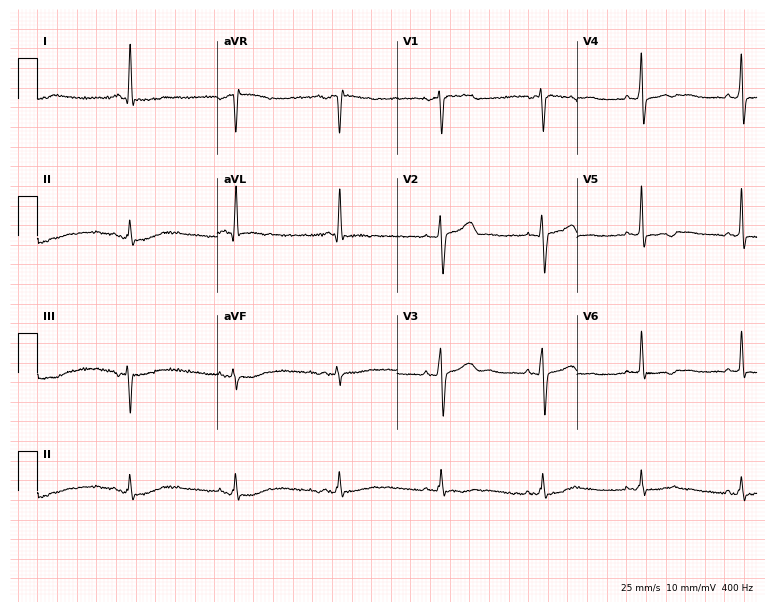
12-lead ECG from a male patient, 54 years old (7.3-second recording at 400 Hz). No first-degree AV block, right bundle branch block, left bundle branch block, sinus bradycardia, atrial fibrillation or sinus tachycardia recorded for this tracing.